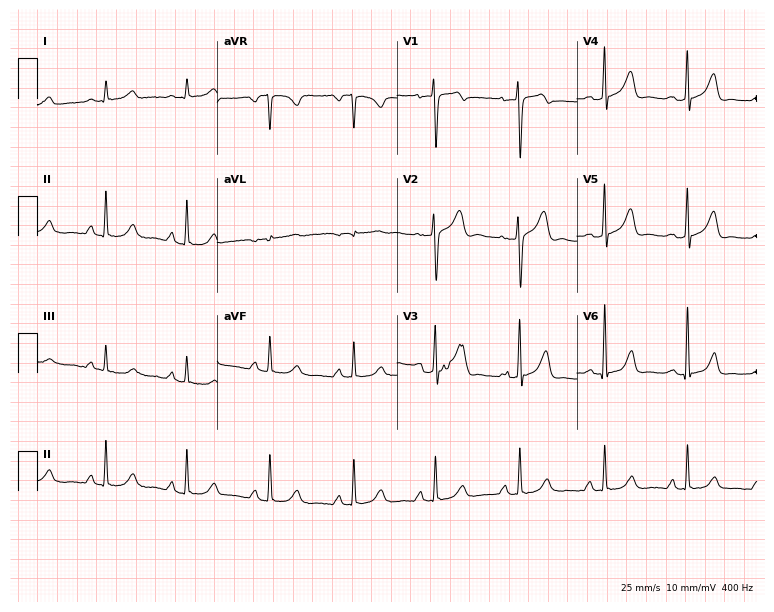
Standard 12-lead ECG recorded from a 35-year-old male patient. None of these six findings is recorded: first-degree AV block, right bundle branch block, left bundle branch block, sinus bradycardia, atrial fibrillation, sinus tachycardia. Other findings, if any, are not listed.